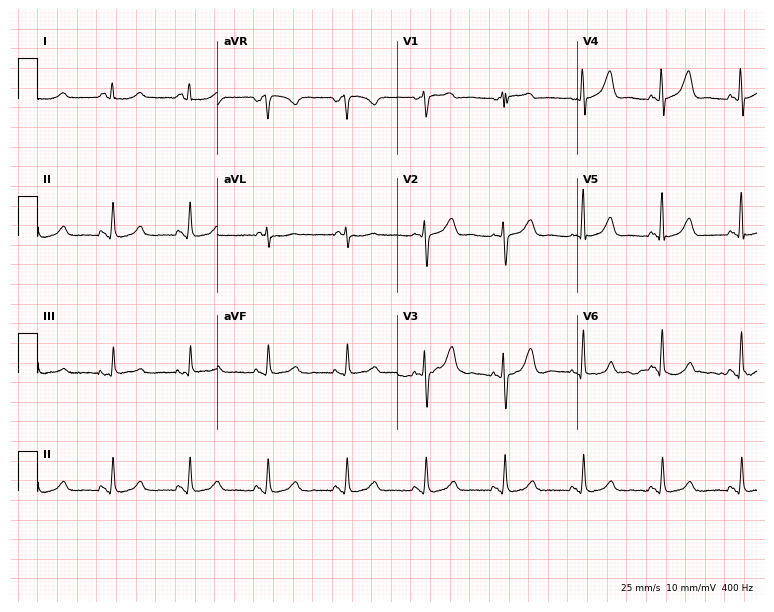
Electrocardiogram (7.3-second recording at 400 Hz), a female patient, 51 years old. Of the six screened findings (first-degree AV block, right bundle branch block (RBBB), left bundle branch block (LBBB), sinus bradycardia, atrial fibrillation (AF), sinus tachycardia), none is recorded.